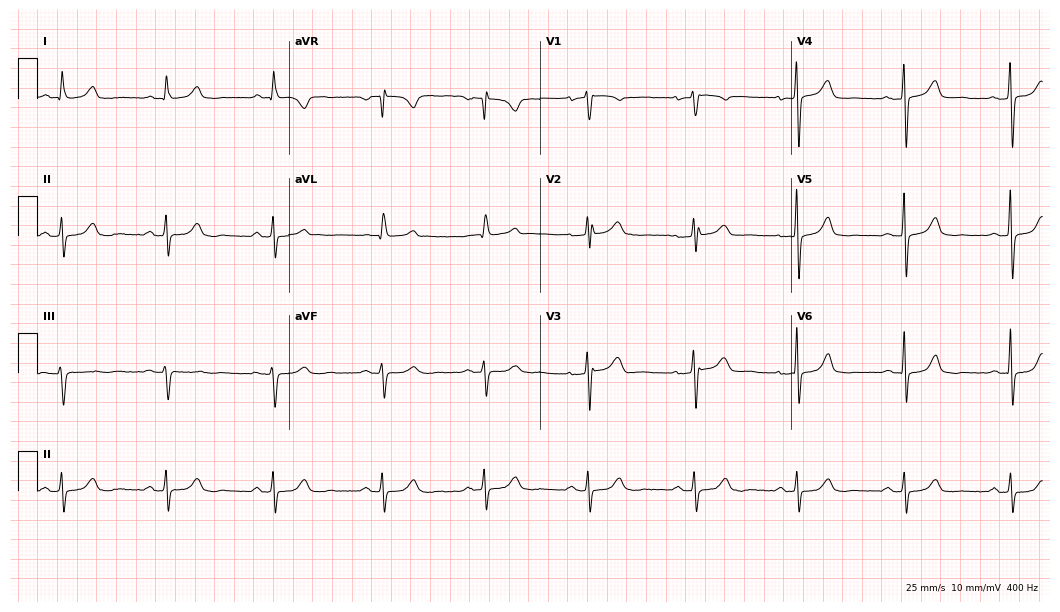
12-lead ECG (10.2-second recording at 400 Hz) from a 66-year-old female patient. Screened for six findings — first-degree AV block, right bundle branch block (RBBB), left bundle branch block (LBBB), sinus bradycardia, atrial fibrillation (AF), sinus tachycardia — none is recorded. Only these six findings were labelled.